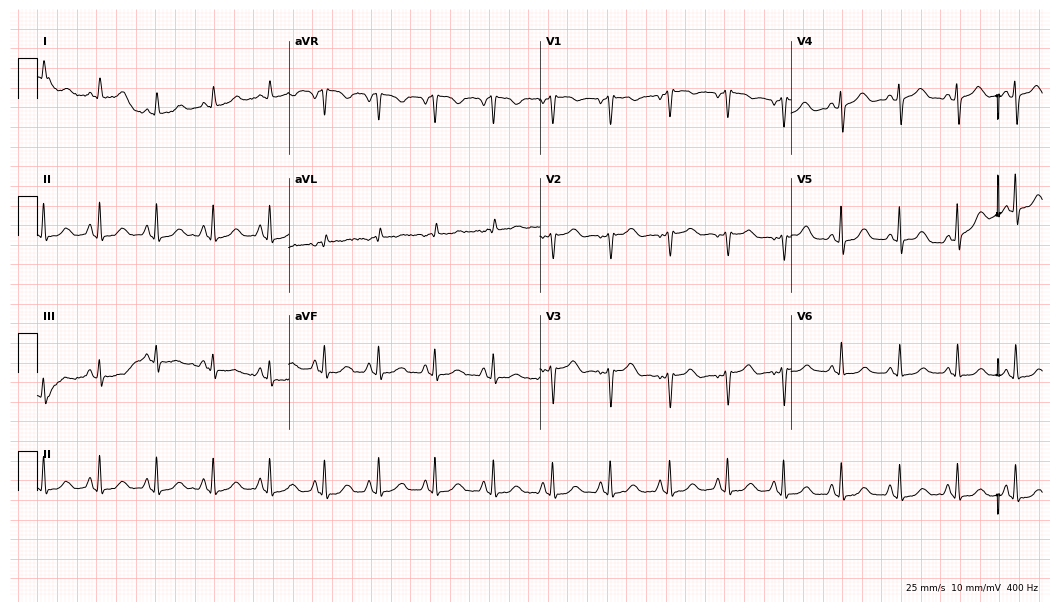
Standard 12-lead ECG recorded from a female, 54 years old. The tracing shows sinus tachycardia (a sinus rate of 100 beats per minute or more).